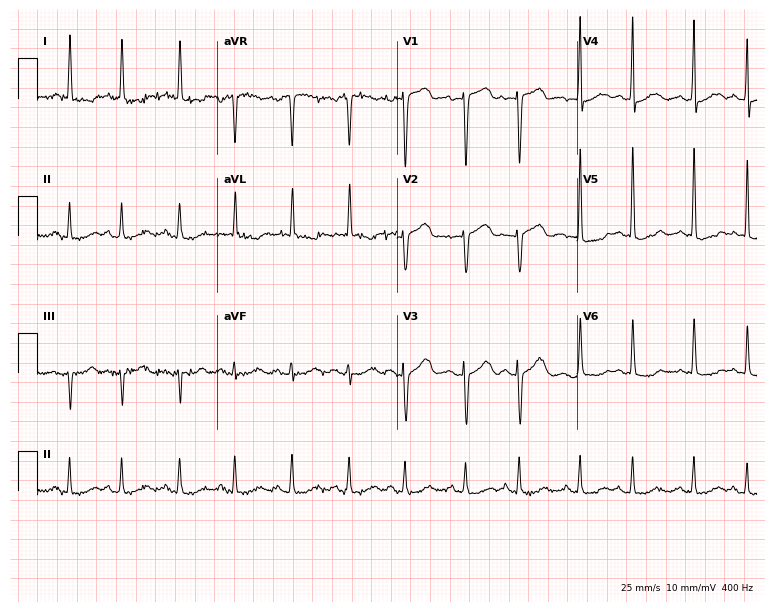
12-lead ECG (7.3-second recording at 400 Hz) from a 78-year-old female. Findings include sinus tachycardia (a sinus rate of 100 beats per minute or more).